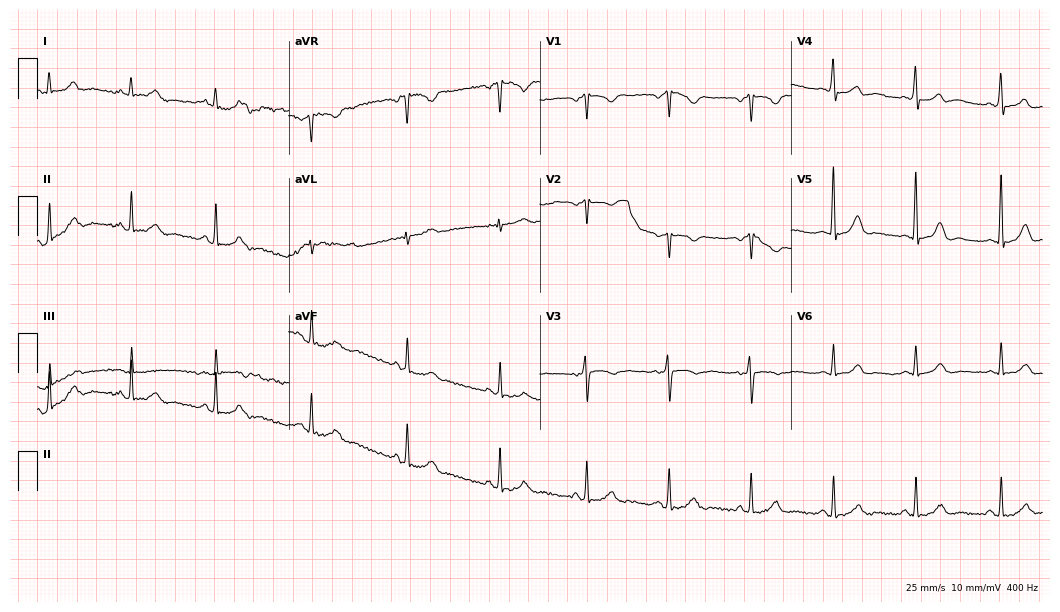
12-lead ECG (10.2-second recording at 400 Hz) from a 48-year-old female. Labelled as a normal ECG.